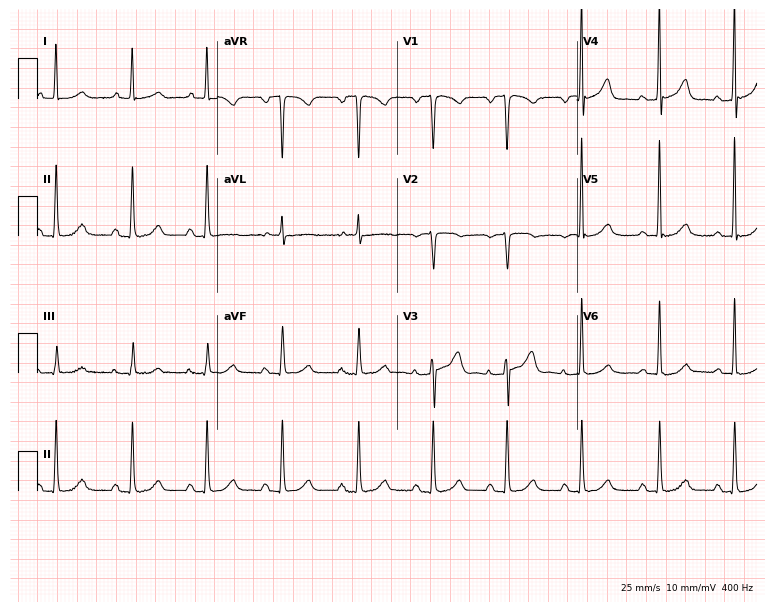
Standard 12-lead ECG recorded from a 79-year-old woman. Read as a normal ECG.